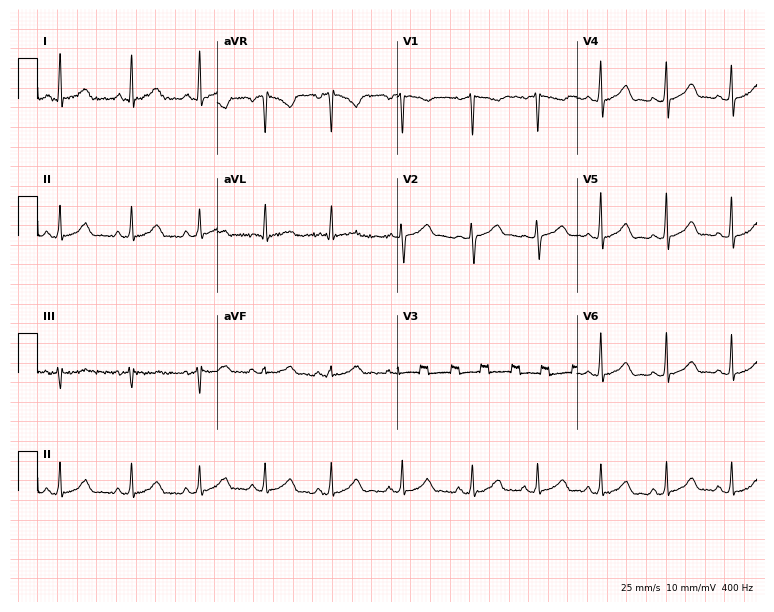
Electrocardiogram, a female patient, 45 years old. Overall reading on record: normal ECG.